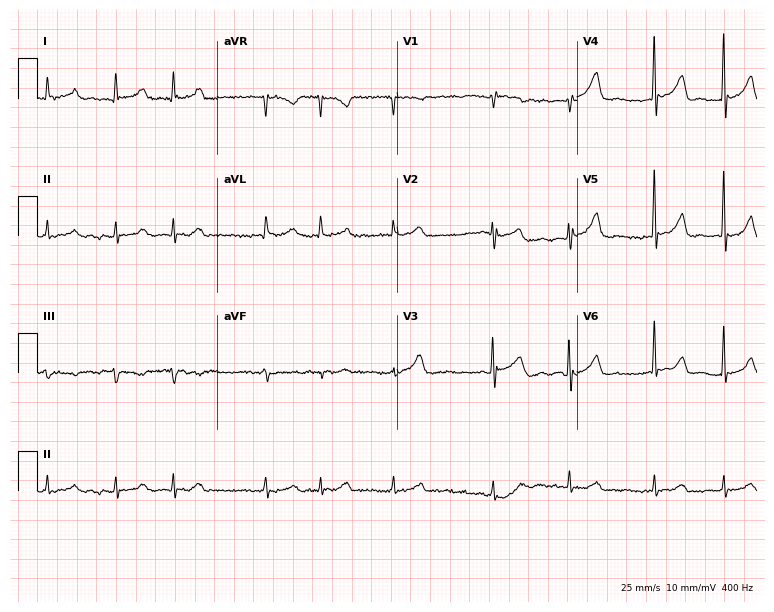
ECG — a male, 77 years old. Screened for six findings — first-degree AV block, right bundle branch block, left bundle branch block, sinus bradycardia, atrial fibrillation, sinus tachycardia — none is recorded. Only these six findings were labelled.